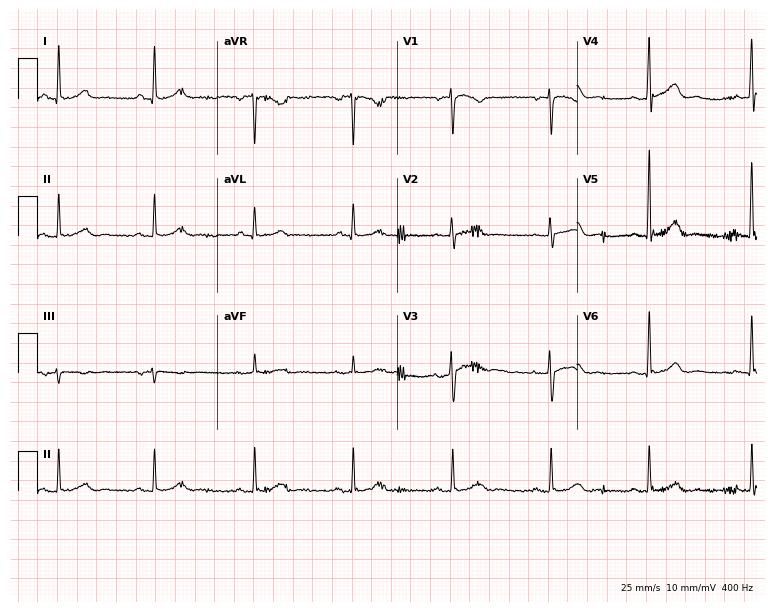
Electrocardiogram, a 52-year-old woman. Of the six screened findings (first-degree AV block, right bundle branch block (RBBB), left bundle branch block (LBBB), sinus bradycardia, atrial fibrillation (AF), sinus tachycardia), none is recorded. Other findings, if any, are not listed.